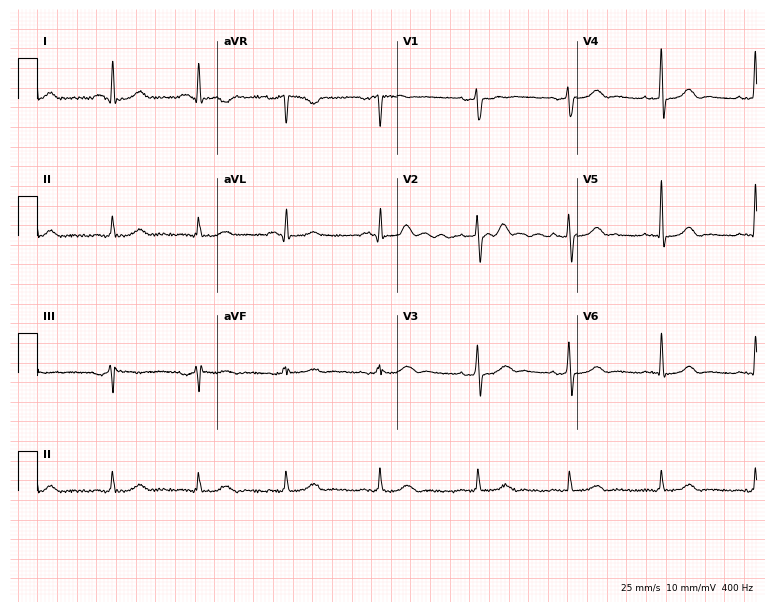
12-lead ECG (7.3-second recording at 400 Hz) from a female patient, 54 years old. Labelled as a normal ECG.